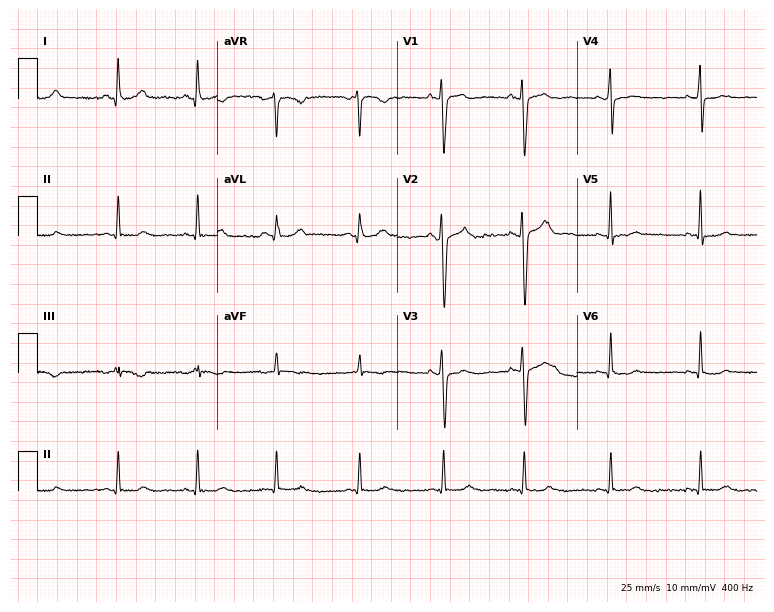
12-lead ECG (7.3-second recording at 400 Hz) from a female, 31 years old. Screened for six findings — first-degree AV block, right bundle branch block, left bundle branch block, sinus bradycardia, atrial fibrillation, sinus tachycardia — none is recorded. Findings outside these six are not listed.